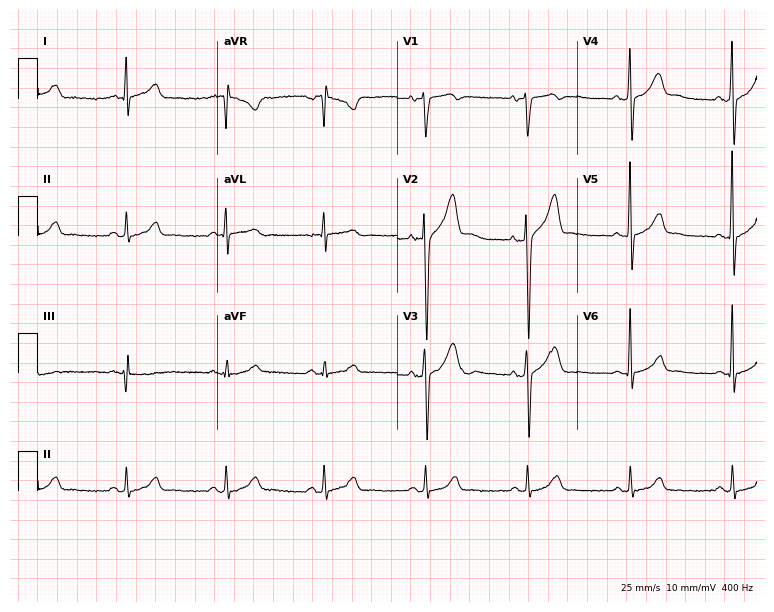
12-lead ECG from a man, 41 years old (7.3-second recording at 400 Hz). Recorded interpretation: within normal limits.